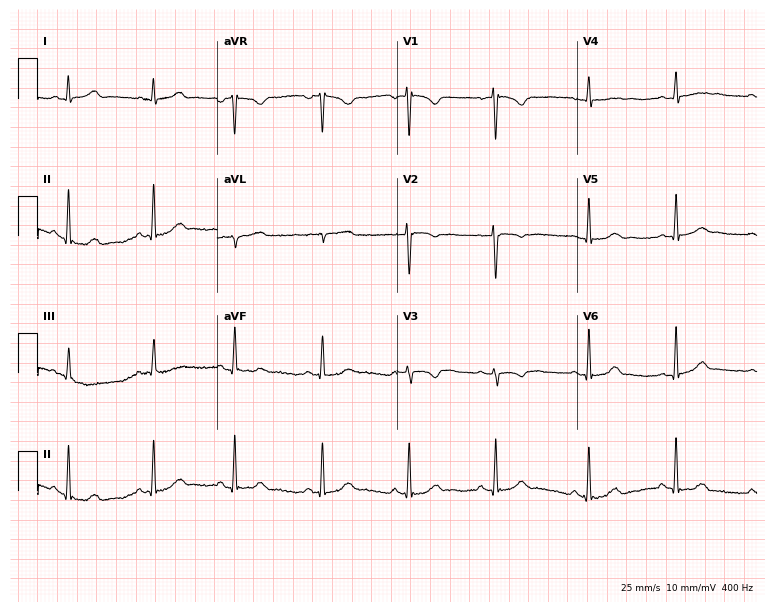
Resting 12-lead electrocardiogram. Patient: a female, 20 years old. Read as a normal ECG.